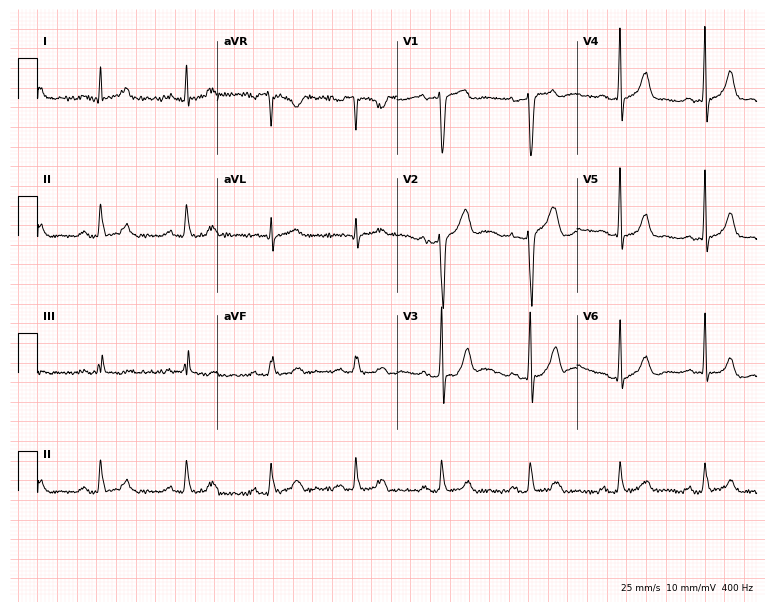
Standard 12-lead ECG recorded from a 42-year-old man (7.3-second recording at 400 Hz). Read as a normal ECG.